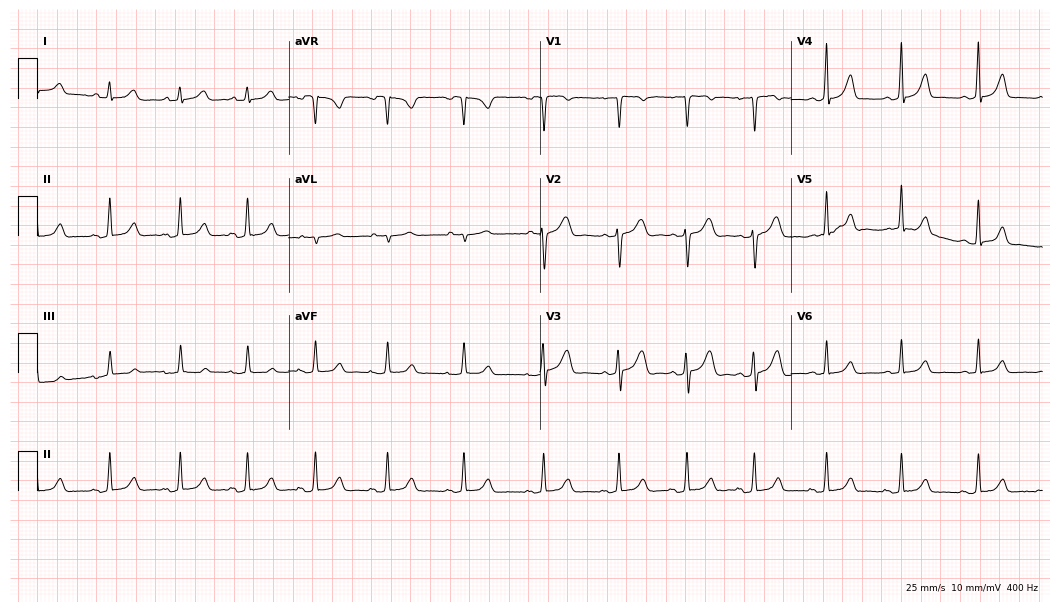
Standard 12-lead ECG recorded from a woman, 29 years old (10.2-second recording at 400 Hz). None of these six findings is recorded: first-degree AV block, right bundle branch block, left bundle branch block, sinus bradycardia, atrial fibrillation, sinus tachycardia. Other findings, if any, are not listed.